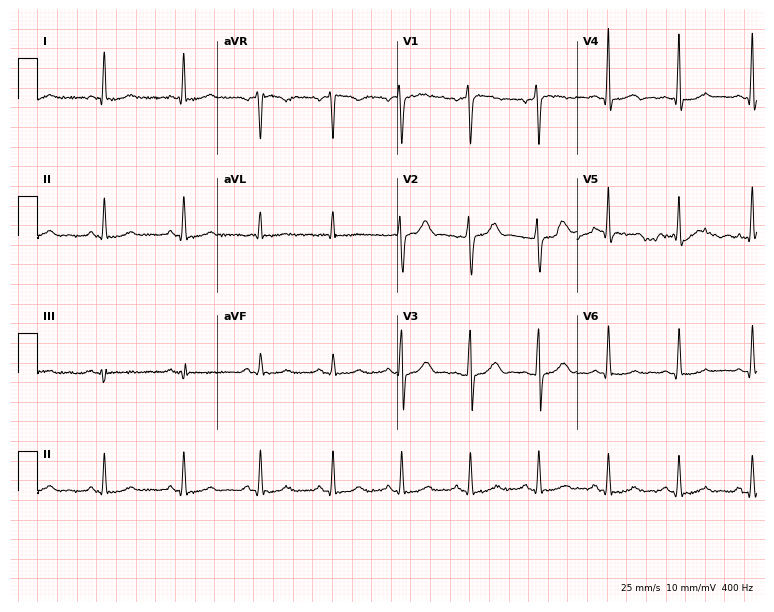
ECG (7.3-second recording at 400 Hz) — a 36-year-old male. Labelled as a normal ECG.